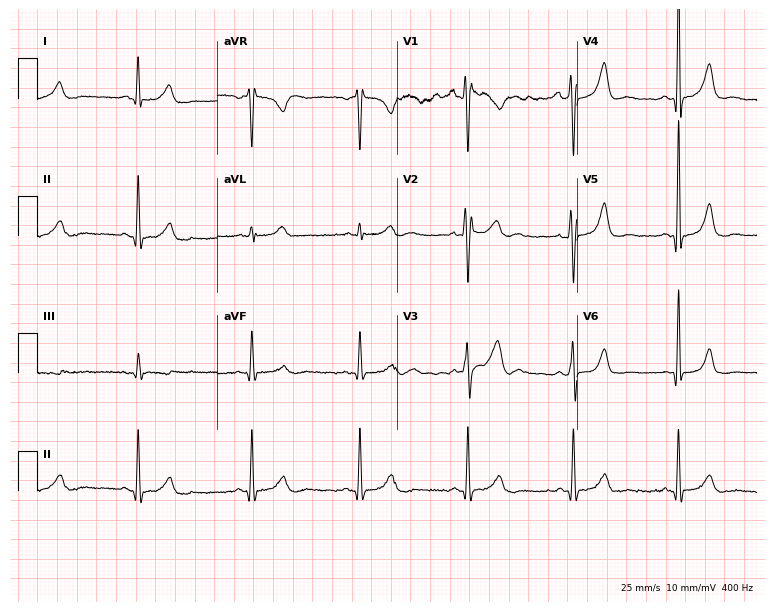
Electrocardiogram, a male, 26 years old. Of the six screened findings (first-degree AV block, right bundle branch block (RBBB), left bundle branch block (LBBB), sinus bradycardia, atrial fibrillation (AF), sinus tachycardia), none is recorded.